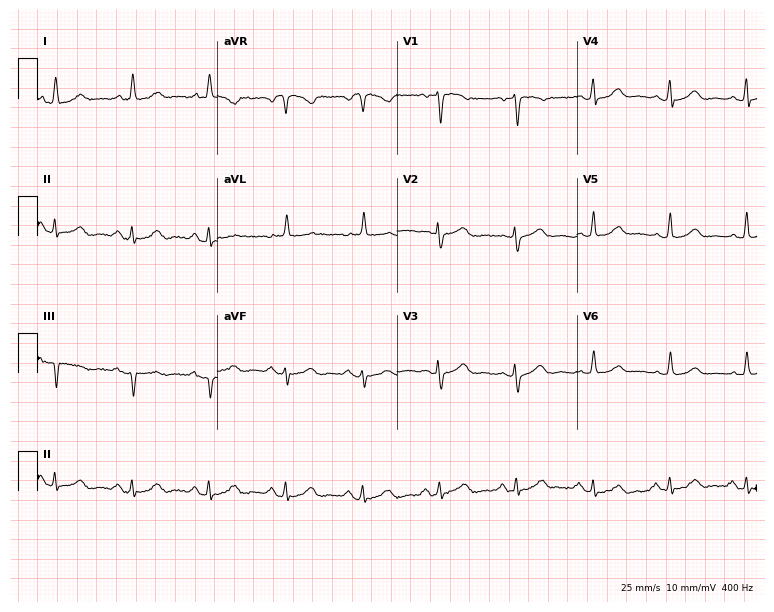
Standard 12-lead ECG recorded from a female, 76 years old (7.3-second recording at 400 Hz). None of these six findings is recorded: first-degree AV block, right bundle branch block, left bundle branch block, sinus bradycardia, atrial fibrillation, sinus tachycardia. Findings outside these six are not listed.